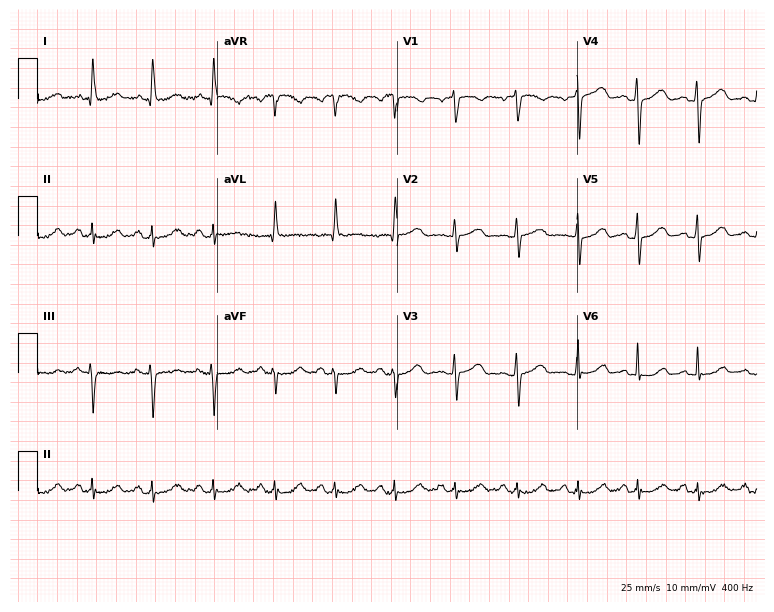
Resting 12-lead electrocardiogram (7.3-second recording at 400 Hz). Patient: a female, 72 years old. None of these six findings is recorded: first-degree AV block, right bundle branch block, left bundle branch block, sinus bradycardia, atrial fibrillation, sinus tachycardia. Other findings, if any, are not listed.